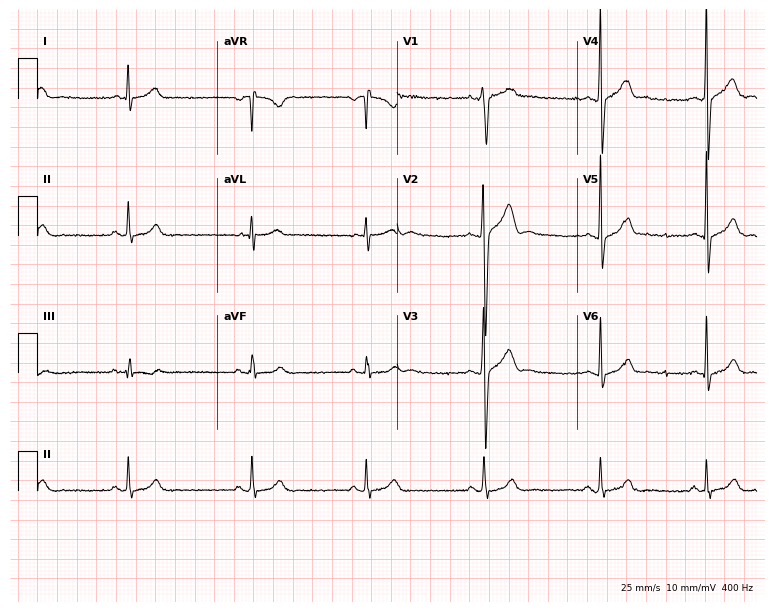
Standard 12-lead ECG recorded from a 19-year-old male. Read as a normal ECG.